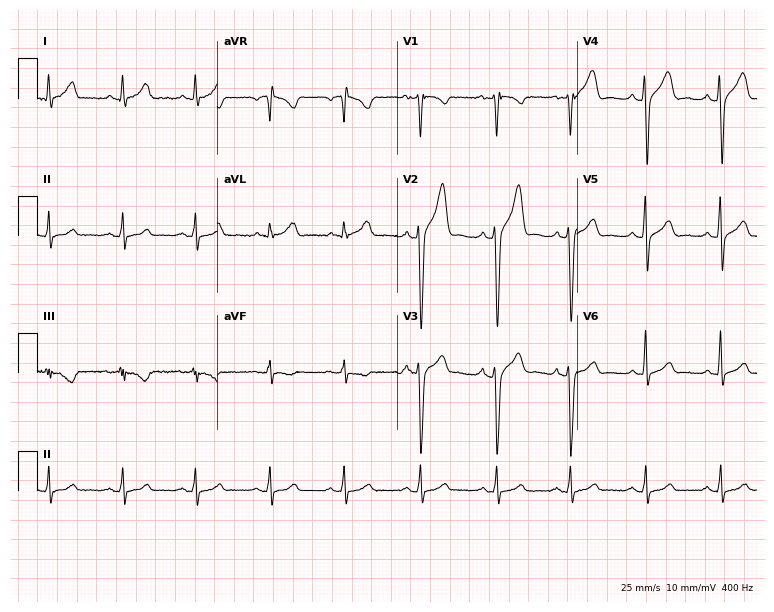
Electrocardiogram (7.3-second recording at 400 Hz), a 32-year-old male. Overall reading on record: normal ECG.